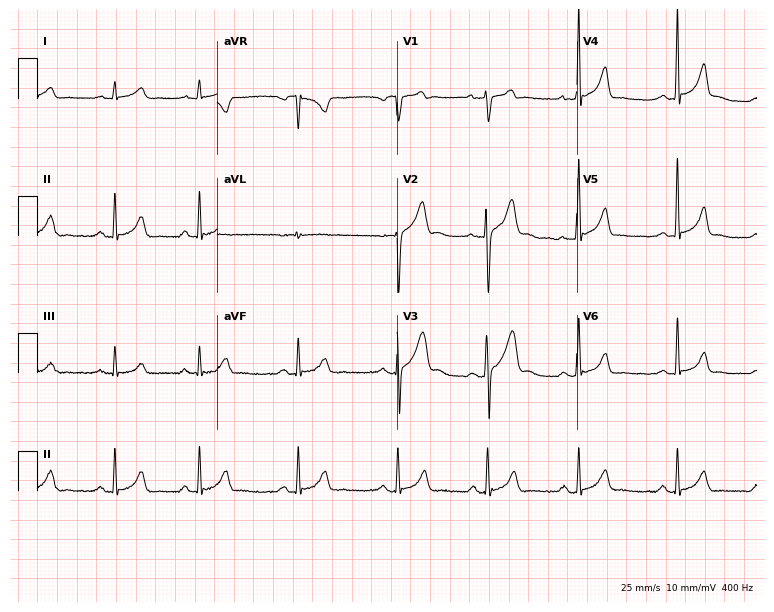
Resting 12-lead electrocardiogram (7.3-second recording at 400 Hz). Patient: a 25-year-old male. Read as a normal ECG.